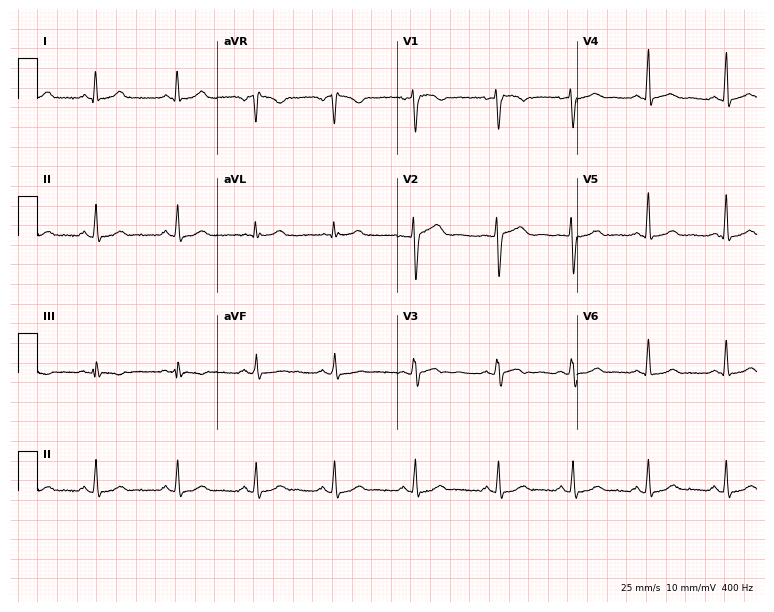
12-lead ECG from a man, 36 years old. Recorded interpretation: within normal limits.